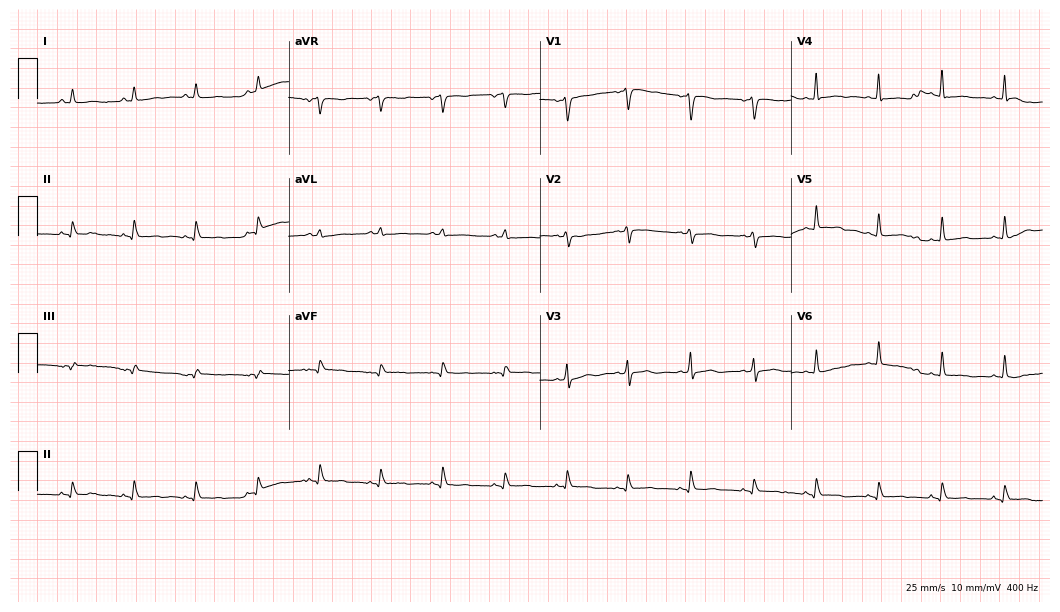
ECG (10.2-second recording at 400 Hz) — a 66-year-old female patient. Labelled as a normal ECG.